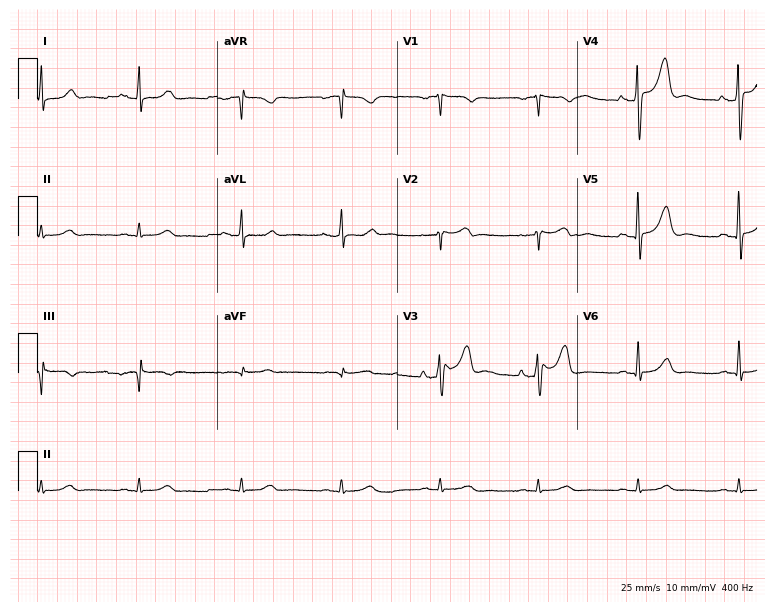
12-lead ECG from a 66-year-old man. Recorded interpretation: within normal limits.